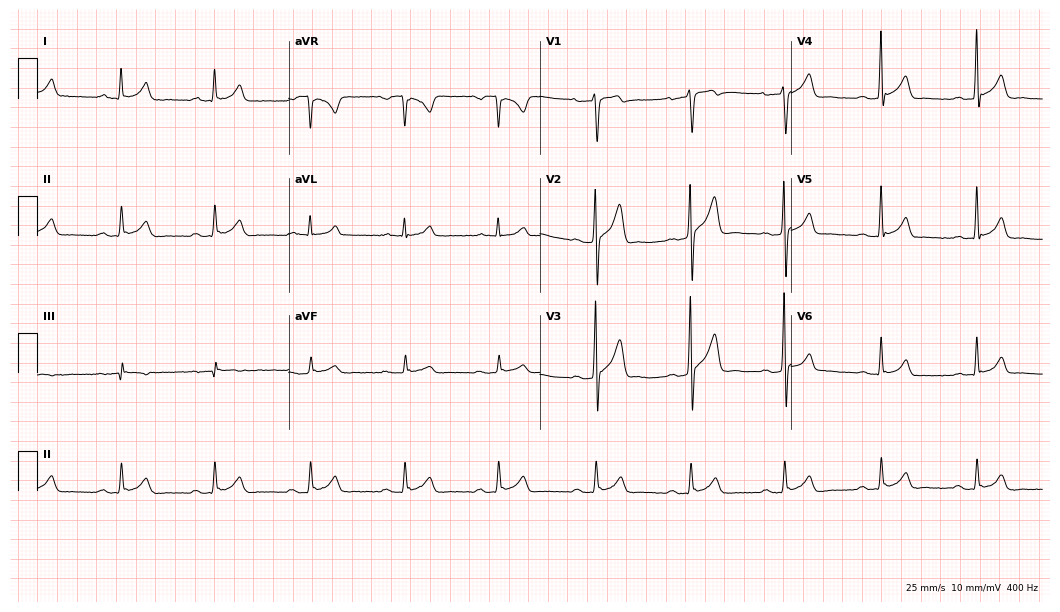
Resting 12-lead electrocardiogram (10.2-second recording at 400 Hz). Patient: a man, 39 years old. None of these six findings is recorded: first-degree AV block, right bundle branch block, left bundle branch block, sinus bradycardia, atrial fibrillation, sinus tachycardia.